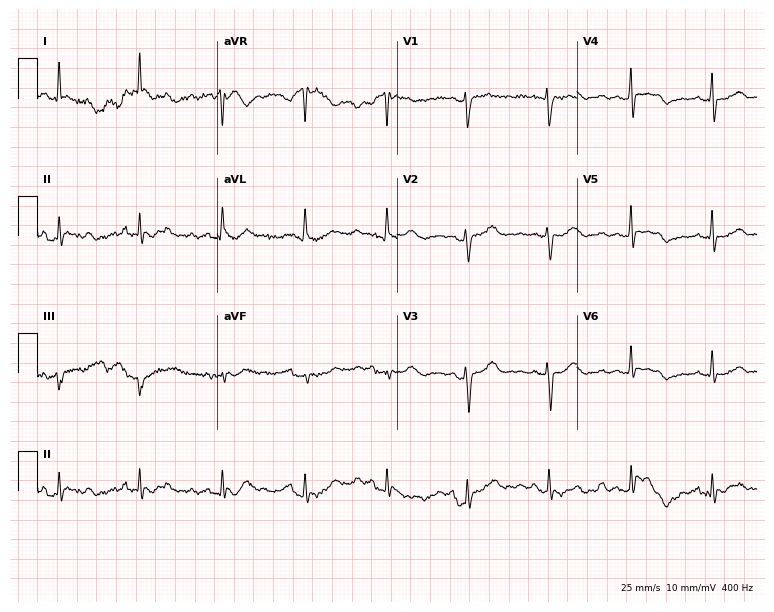
Electrocardiogram, a 65-year-old female. Of the six screened findings (first-degree AV block, right bundle branch block (RBBB), left bundle branch block (LBBB), sinus bradycardia, atrial fibrillation (AF), sinus tachycardia), none is recorded.